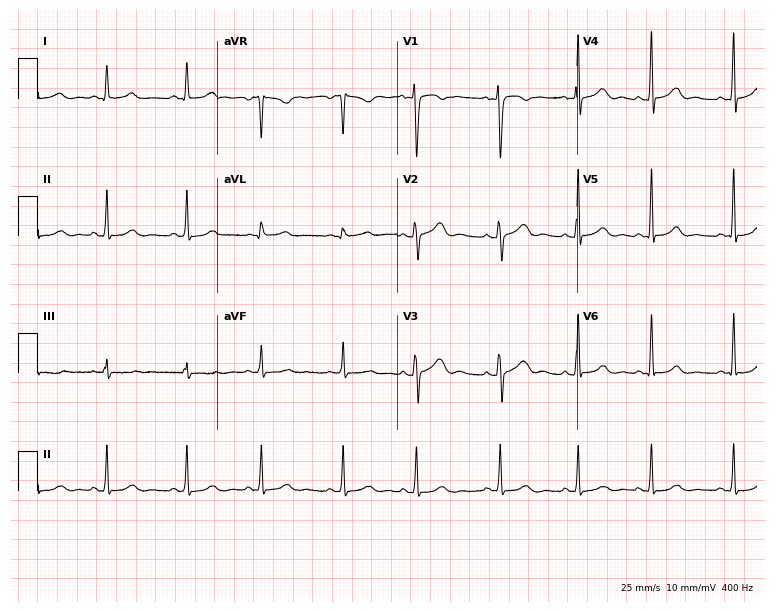
12-lead ECG (7.3-second recording at 400 Hz) from a 37-year-old female patient. Screened for six findings — first-degree AV block, right bundle branch block (RBBB), left bundle branch block (LBBB), sinus bradycardia, atrial fibrillation (AF), sinus tachycardia — none is recorded. Findings outside these six are not listed.